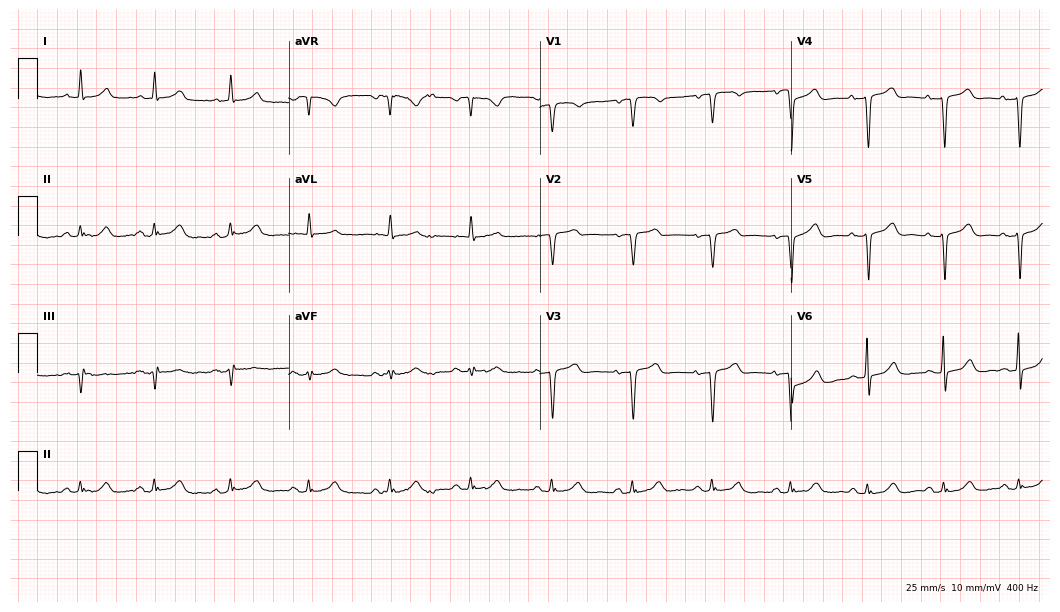
Standard 12-lead ECG recorded from a 73-year-old female patient (10.2-second recording at 400 Hz). None of these six findings is recorded: first-degree AV block, right bundle branch block, left bundle branch block, sinus bradycardia, atrial fibrillation, sinus tachycardia. Other findings, if any, are not listed.